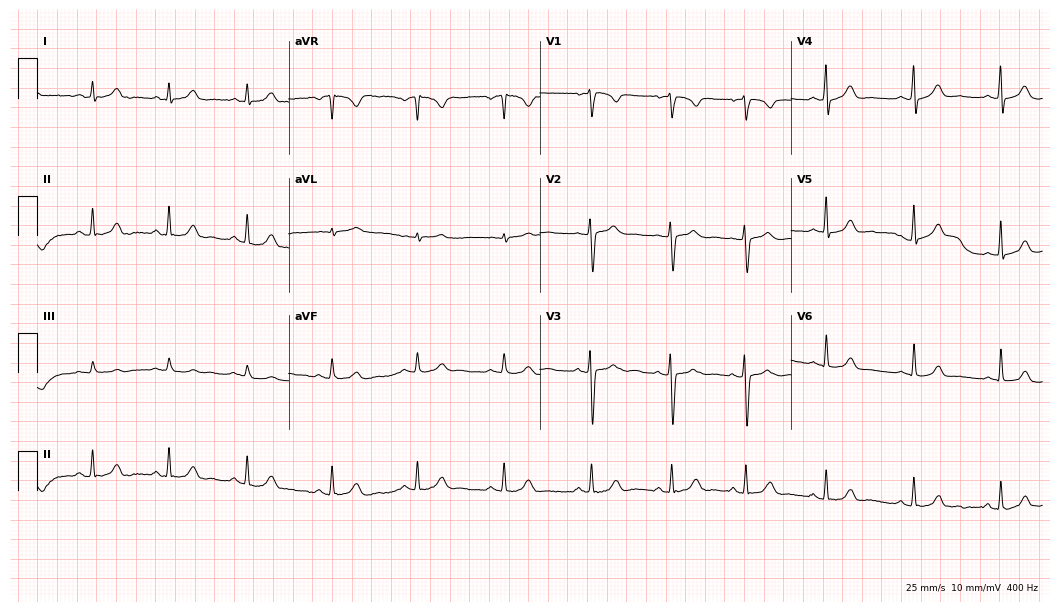
Electrocardiogram, a female patient, 20 years old. Overall reading on record: normal ECG.